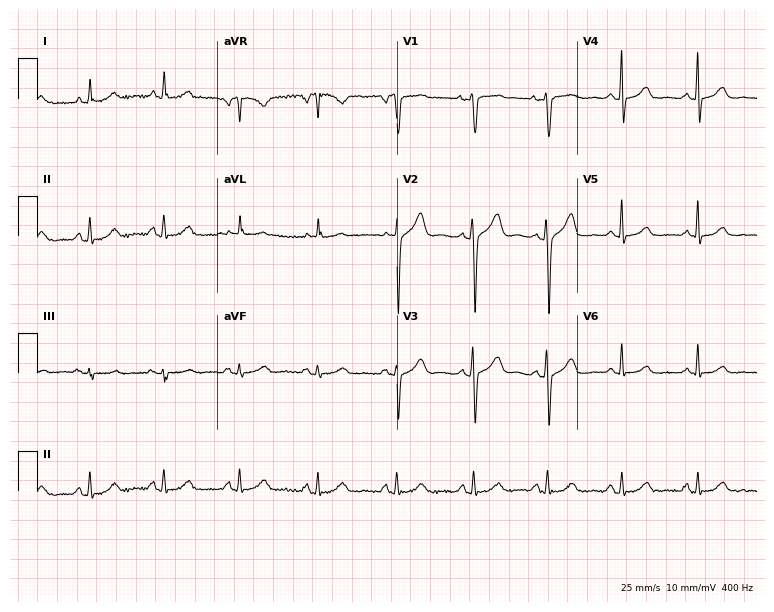
ECG — a 49-year-old woman. Labelled as a normal ECG.